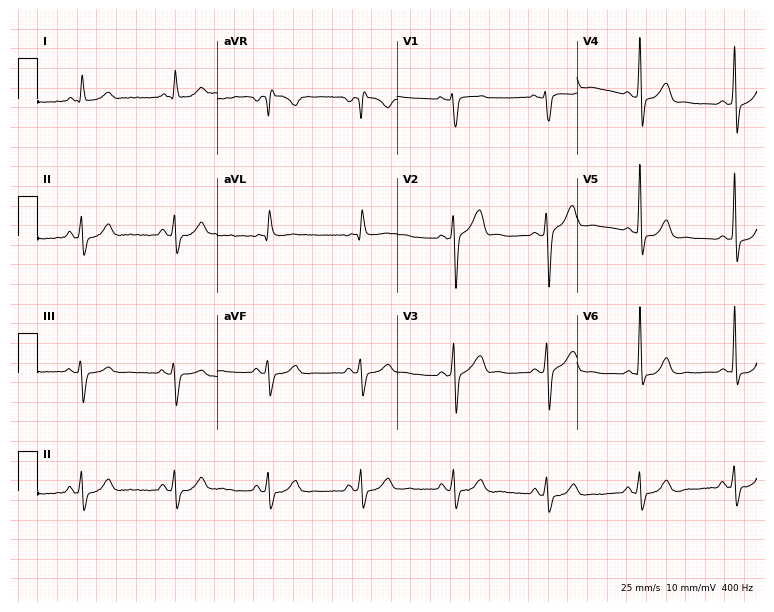
12-lead ECG (7.3-second recording at 400 Hz) from a man, 65 years old. Screened for six findings — first-degree AV block, right bundle branch block, left bundle branch block, sinus bradycardia, atrial fibrillation, sinus tachycardia — none is recorded. Findings outside these six are not listed.